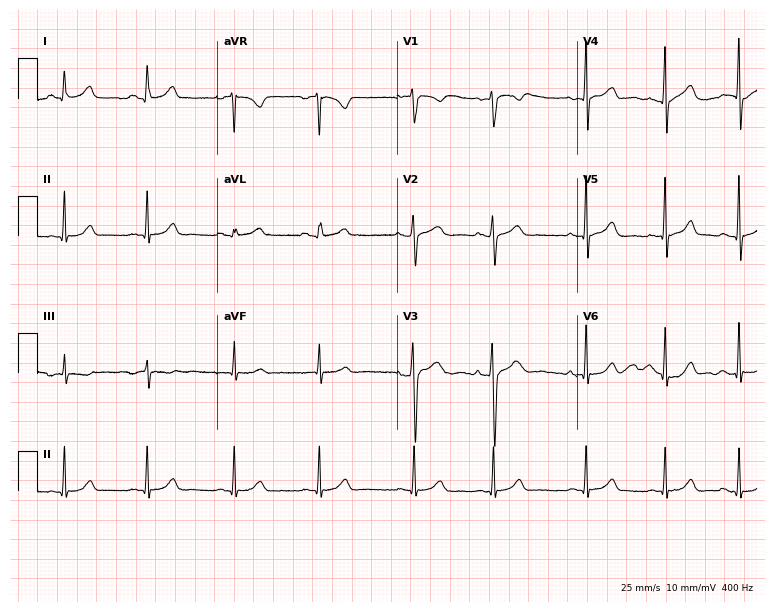
Resting 12-lead electrocardiogram (7.3-second recording at 400 Hz). Patient: a female, 19 years old. Read as a normal ECG.